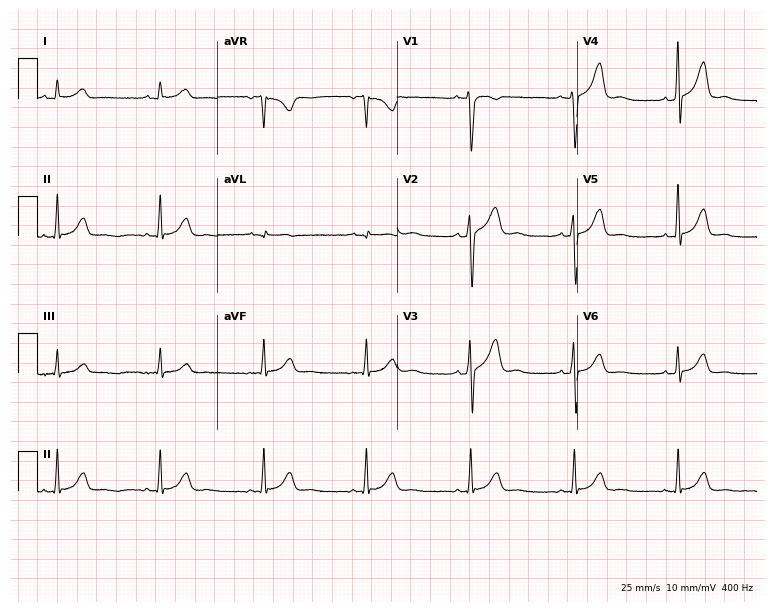
12-lead ECG from a man, 51 years old (7.3-second recording at 400 Hz). Recorded interpretation: within normal limits.